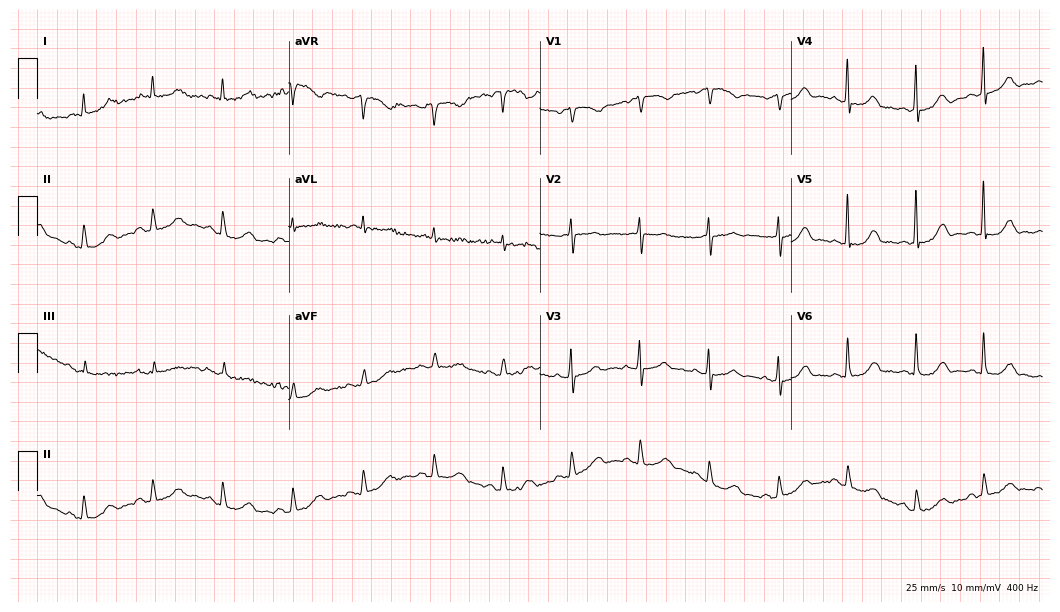
Electrocardiogram (10.2-second recording at 400 Hz), a female patient, 79 years old. Overall reading on record: normal ECG.